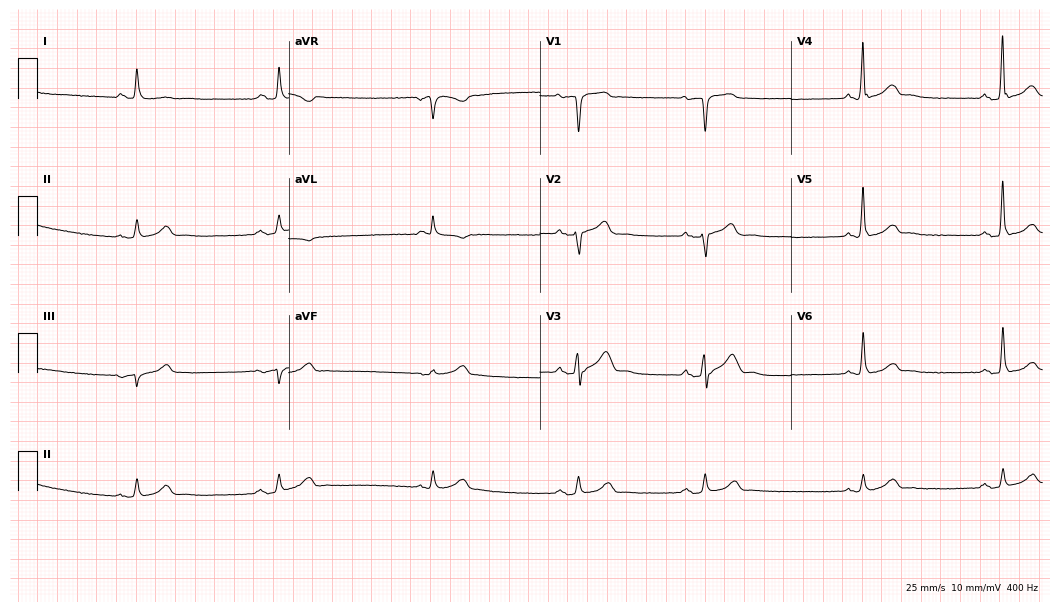
Standard 12-lead ECG recorded from a male patient, 74 years old (10.2-second recording at 400 Hz). None of these six findings is recorded: first-degree AV block, right bundle branch block, left bundle branch block, sinus bradycardia, atrial fibrillation, sinus tachycardia.